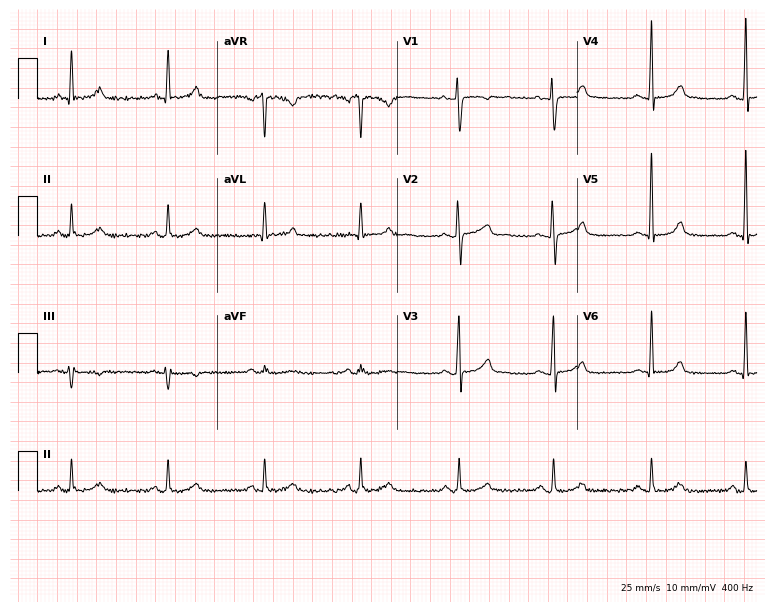
12-lead ECG from a woman, 44 years old. Screened for six findings — first-degree AV block, right bundle branch block (RBBB), left bundle branch block (LBBB), sinus bradycardia, atrial fibrillation (AF), sinus tachycardia — none is recorded. Only these six findings were labelled.